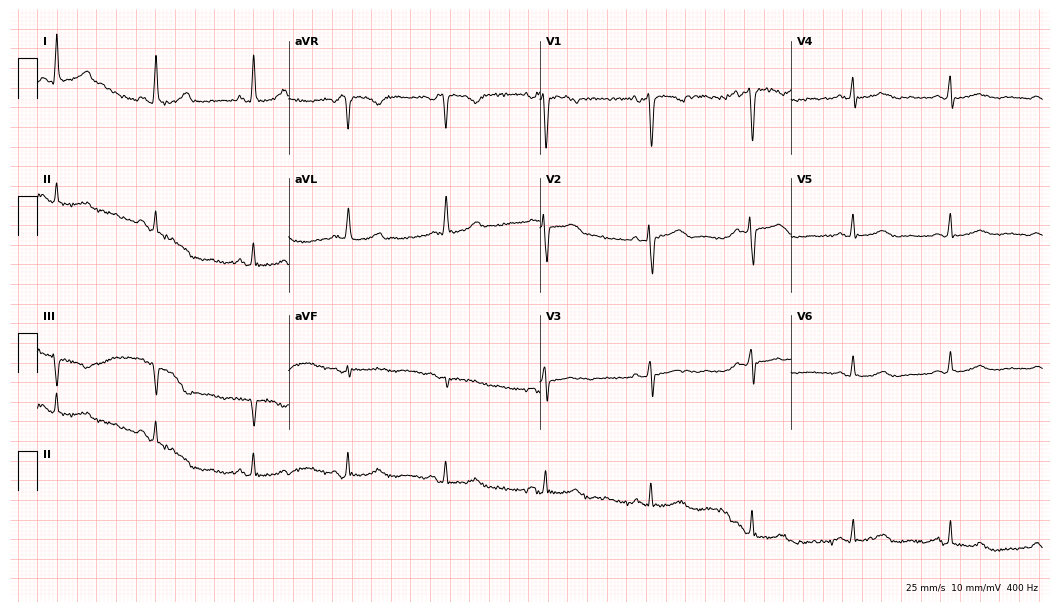
Electrocardiogram, a 56-year-old female patient. Of the six screened findings (first-degree AV block, right bundle branch block, left bundle branch block, sinus bradycardia, atrial fibrillation, sinus tachycardia), none is recorded.